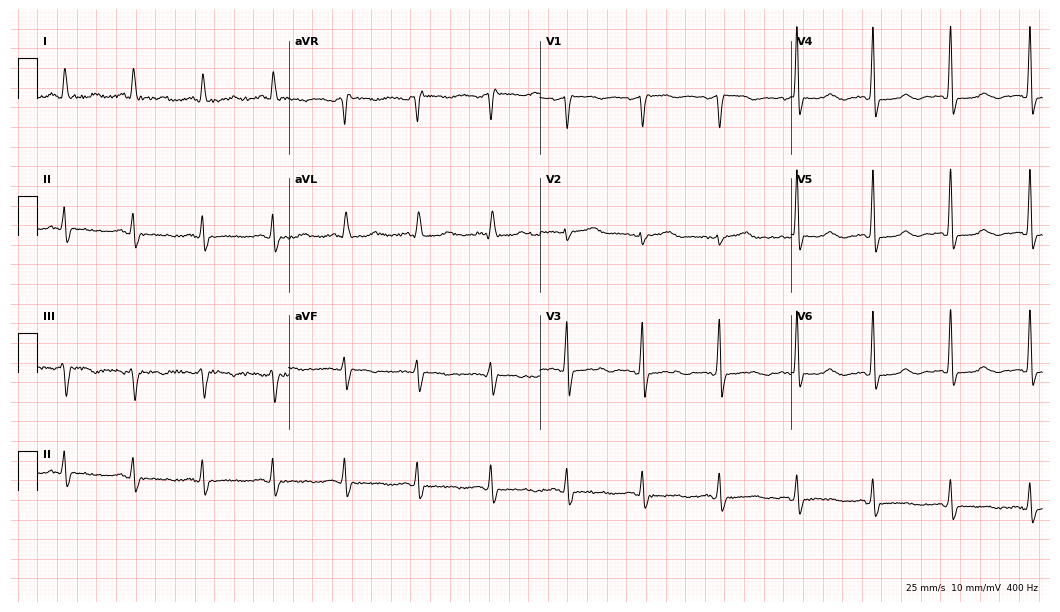
Standard 12-lead ECG recorded from a female patient, 73 years old. None of these six findings is recorded: first-degree AV block, right bundle branch block (RBBB), left bundle branch block (LBBB), sinus bradycardia, atrial fibrillation (AF), sinus tachycardia. Other findings, if any, are not listed.